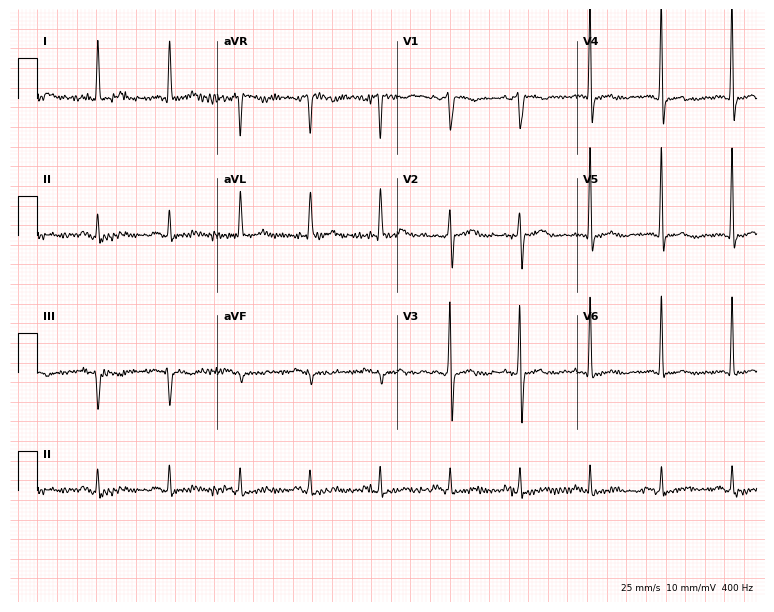
ECG (7.3-second recording at 400 Hz) — a 79-year-old female patient. Screened for six findings — first-degree AV block, right bundle branch block, left bundle branch block, sinus bradycardia, atrial fibrillation, sinus tachycardia — none is recorded.